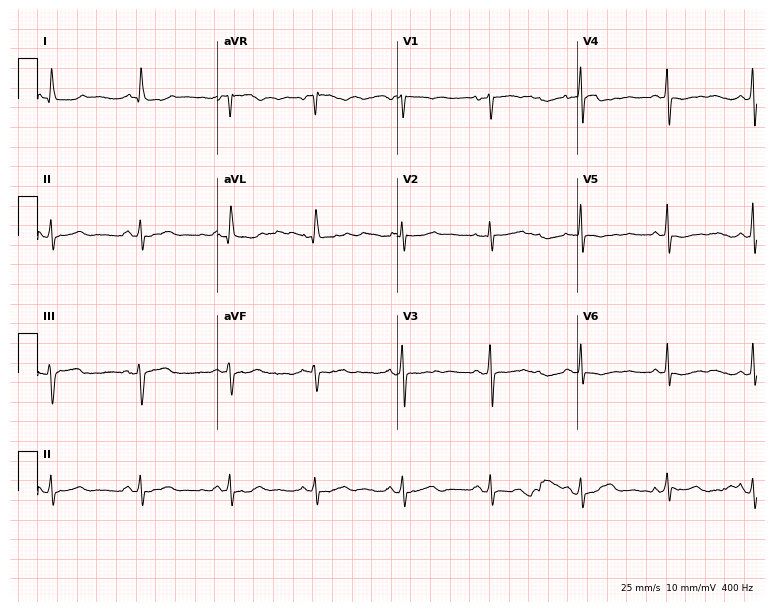
Resting 12-lead electrocardiogram (7.3-second recording at 400 Hz). Patient: a female, 46 years old. None of these six findings is recorded: first-degree AV block, right bundle branch block (RBBB), left bundle branch block (LBBB), sinus bradycardia, atrial fibrillation (AF), sinus tachycardia. Only these six findings were labelled.